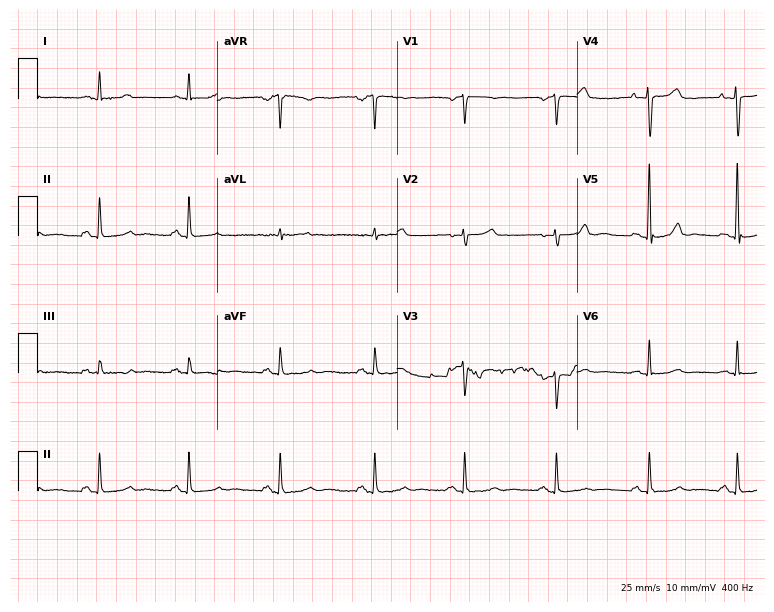
Electrocardiogram (7.3-second recording at 400 Hz), a female, 51 years old. Of the six screened findings (first-degree AV block, right bundle branch block, left bundle branch block, sinus bradycardia, atrial fibrillation, sinus tachycardia), none is recorded.